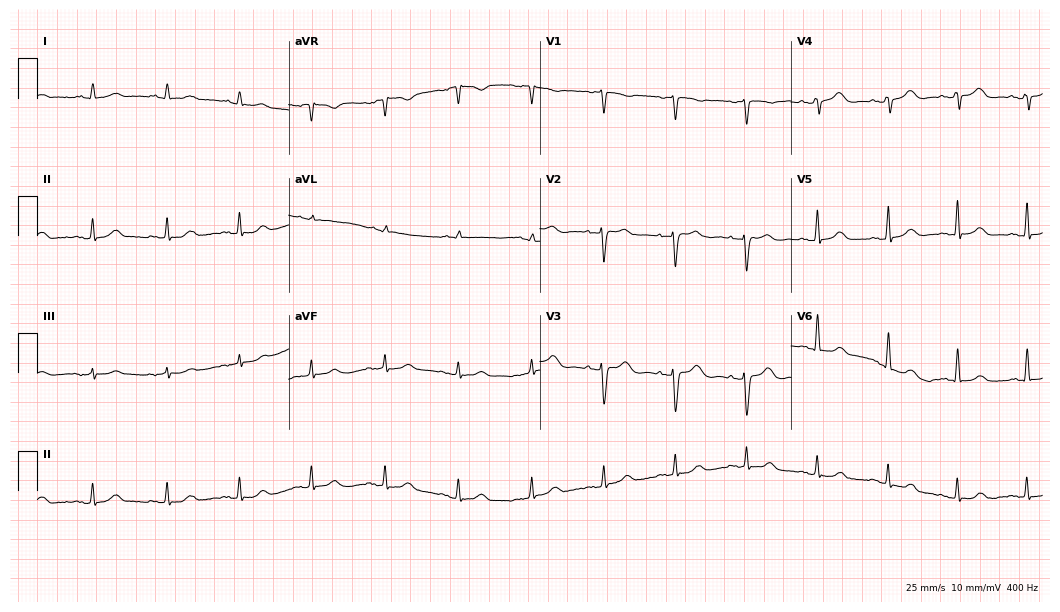
12-lead ECG from a 59-year-old female. No first-degree AV block, right bundle branch block, left bundle branch block, sinus bradycardia, atrial fibrillation or sinus tachycardia recorded for this tracing. Findings outside these six are not listed.